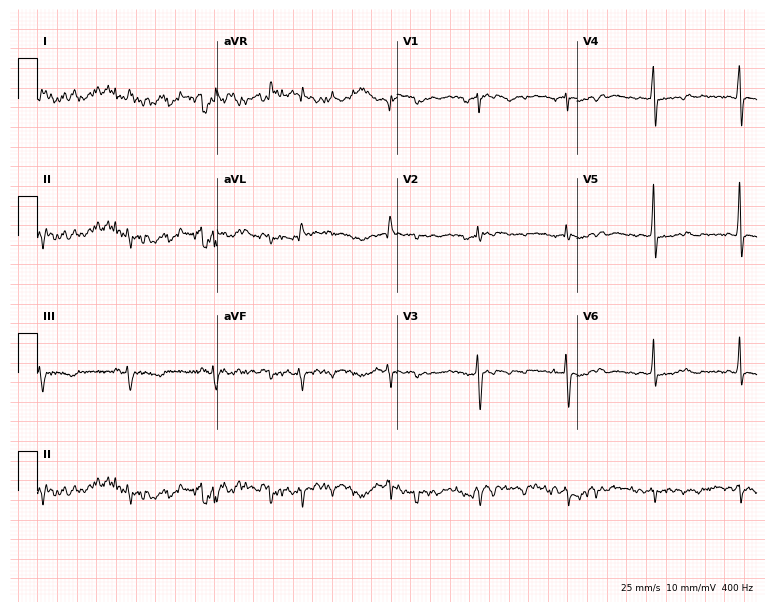
ECG (7.3-second recording at 400 Hz) — a 58-year-old female patient. Screened for six findings — first-degree AV block, right bundle branch block (RBBB), left bundle branch block (LBBB), sinus bradycardia, atrial fibrillation (AF), sinus tachycardia — none is recorded. Only these six findings were labelled.